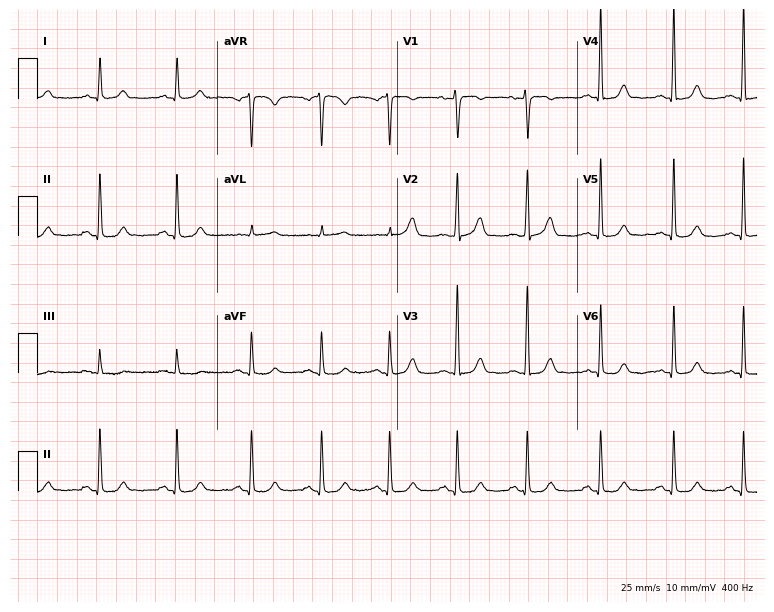
Resting 12-lead electrocardiogram (7.3-second recording at 400 Hz). Patient: a 42-year-old female. Read as a normal ECG.